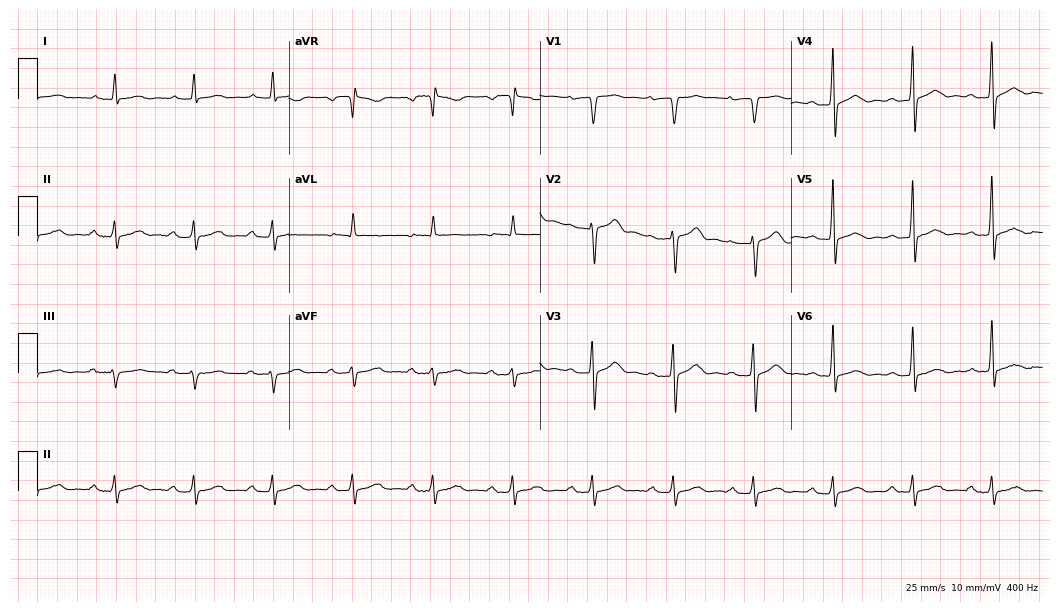
Standard 12-lead ECG recorded from a male, 61 years old. The tracing shows first-degree AV block.